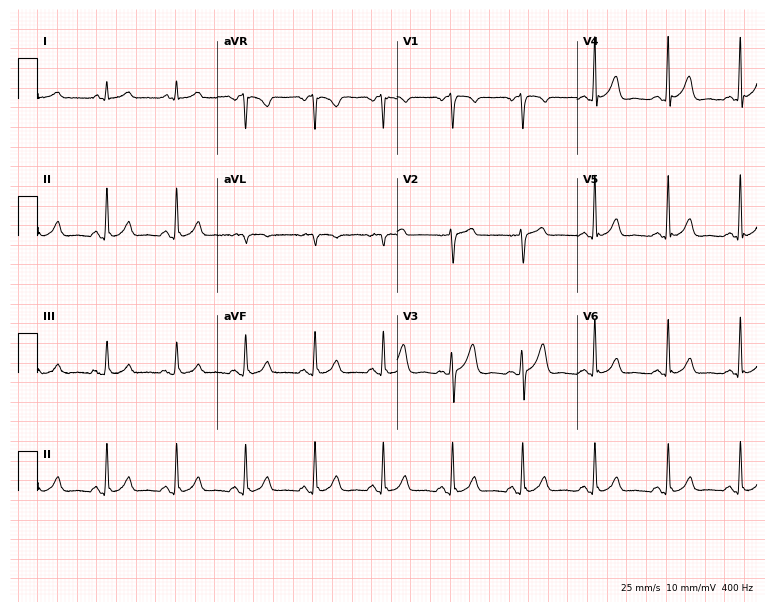
12-lead ECG (7.3-second recording at 400 Hz) from a 58-year-old man. Labelled as a normal ECG.